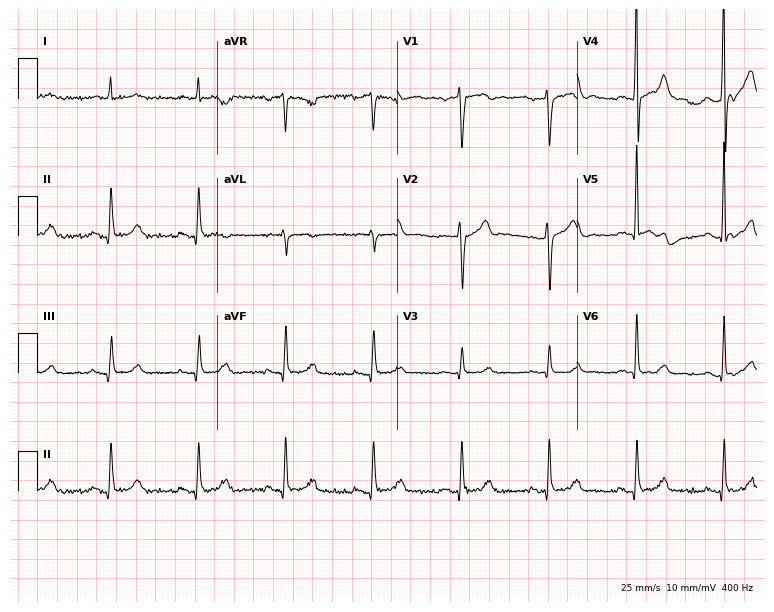
12-lead ECG from a 67-year-old male (7.3-second recording at 400 Hz). Recorded interpretation: within normal limits.